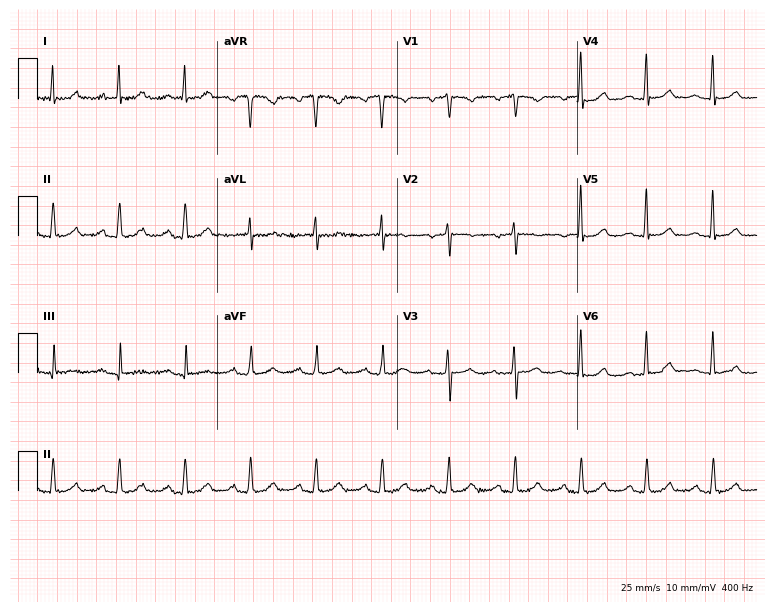
12-lead ECG from a 65-year-old woman (7.3-second recording at 400 Hz). Recorded interpretation: within normal limits.